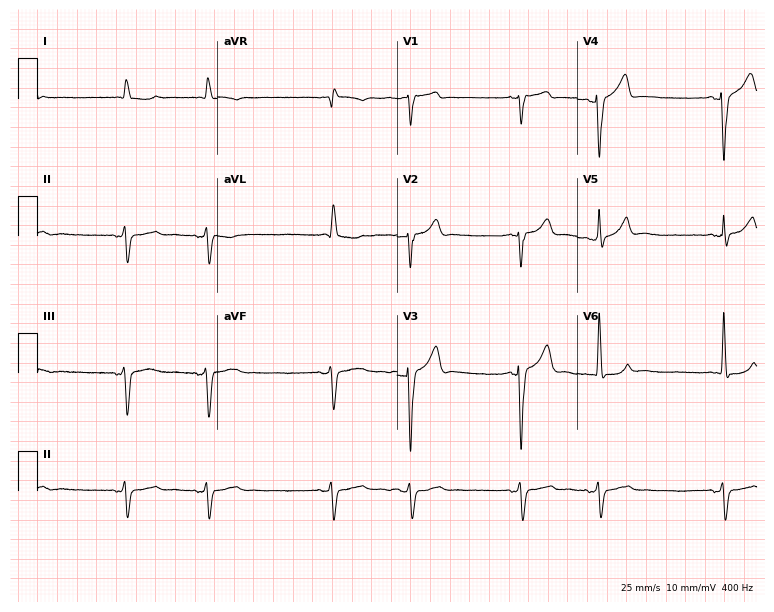
12-lead ECG from a male, 73 years old (7.3-second recording at 400 Hz). No first-degree AV block, right bundle branch block, left bundle branch block, sinus bradycardia, atrial fibrillation or sinus tachycardia recorded for this tracing. Other findings, if any, are not listed.